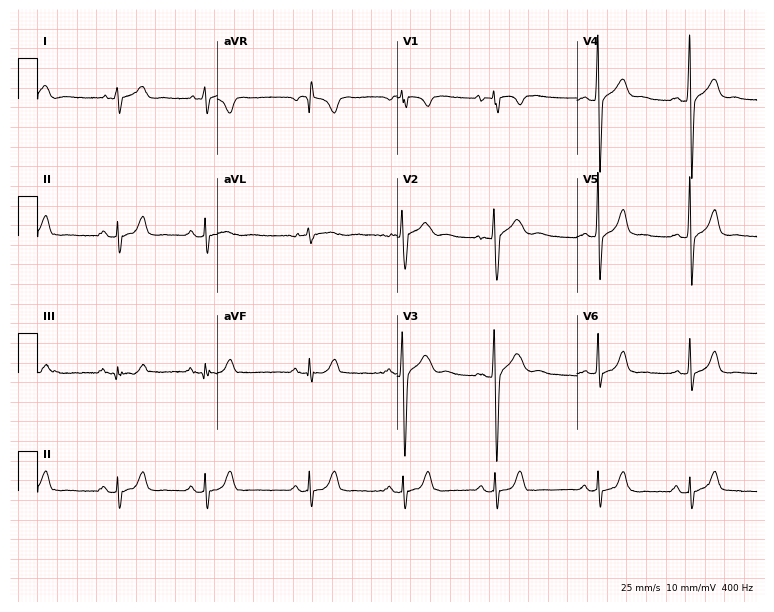
ECG (7.3-second recording at 400 Hz) — a male, 17 years old. Labelled as a normal ECG.